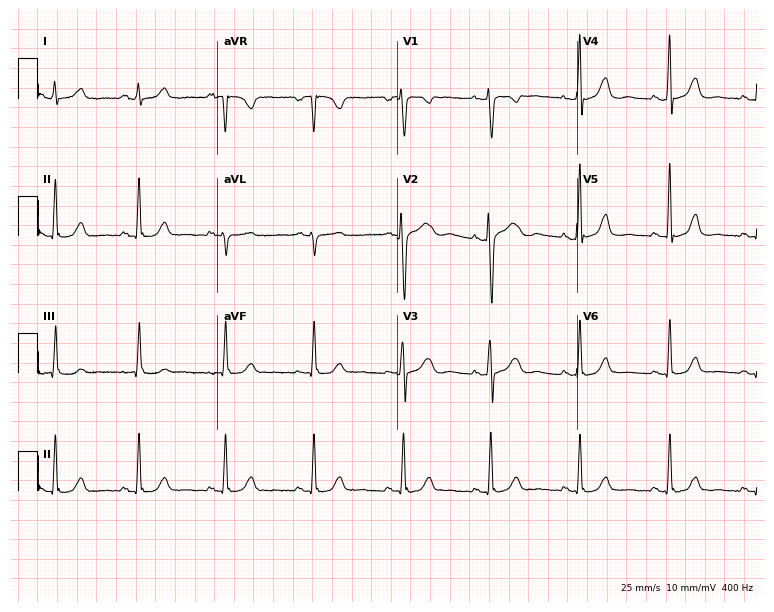
Standard 12-lead ECG recorded from a 52-year-old woman. Read as a normal ECG.